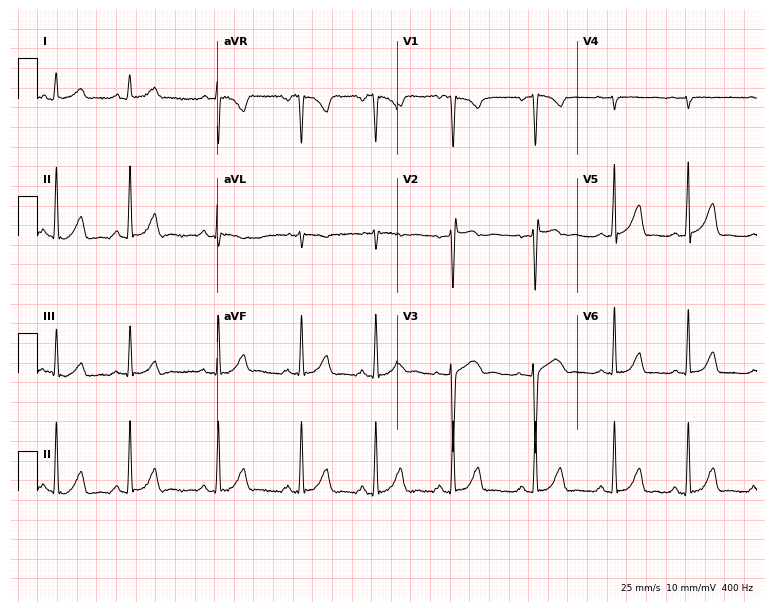
Resting 12-lead electrocardiogram. Patient: a 31-year-old female. None of these six findings is recorded: first-degree AV block, right bundle branch block, left bundle branch block, sinus bradycardia, atrial fibrillation, sinus tachycardia.